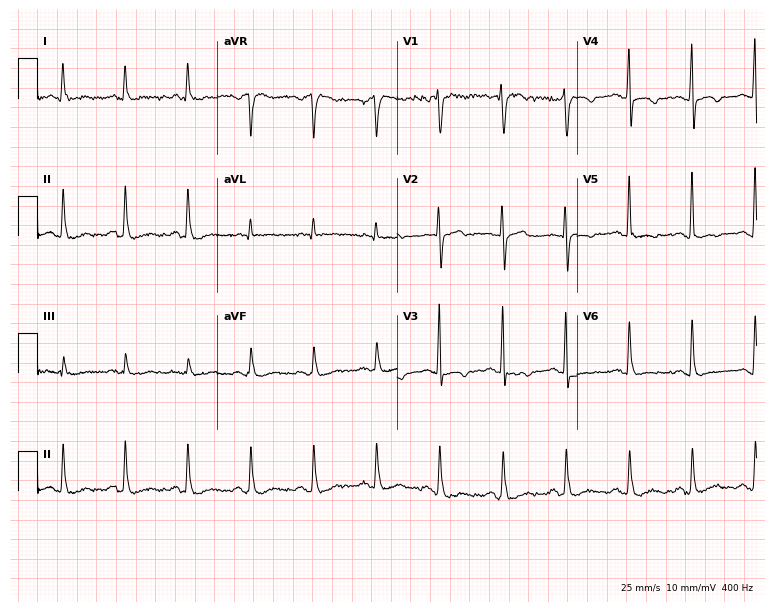
ECG (7.3-second recording at 400 Hz) — a female, 69 years old. Screened for six findings — first-degree AV block, right bundle branch block, left bundle branch block, sinus bradycardia, atrial fibrillation, sinus tachycardia — none is recorded. Only these six findings were labelled.